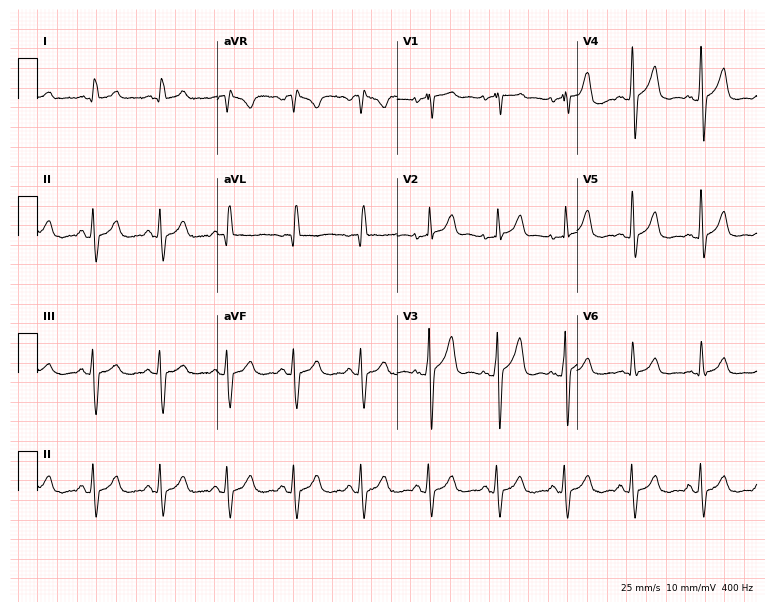
Standard 12-lead ECG recorded from a man, 85 years old. None of these six findings is recorded: first-degree AV block, right bundle branch block, left bundle branch block, sinus bradycardia, atrial fibrillation, sinus tachycardia.